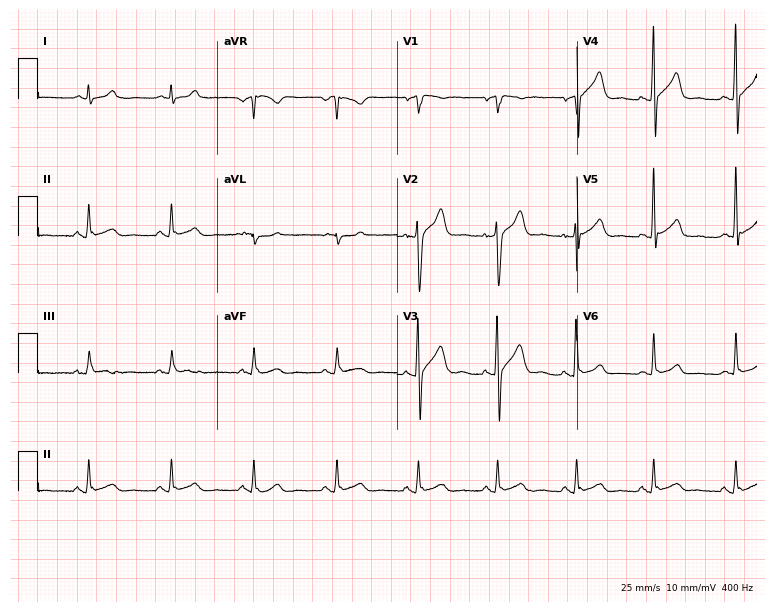
12-lead ECG from a man, 42 years old. No first-degree AV block, right bundle branch block (RBBB), left bundle branch block (LBBB), sinus bradycardia, atrial fibrillation (AF) or sinus tachycardia recorded for this tracing.